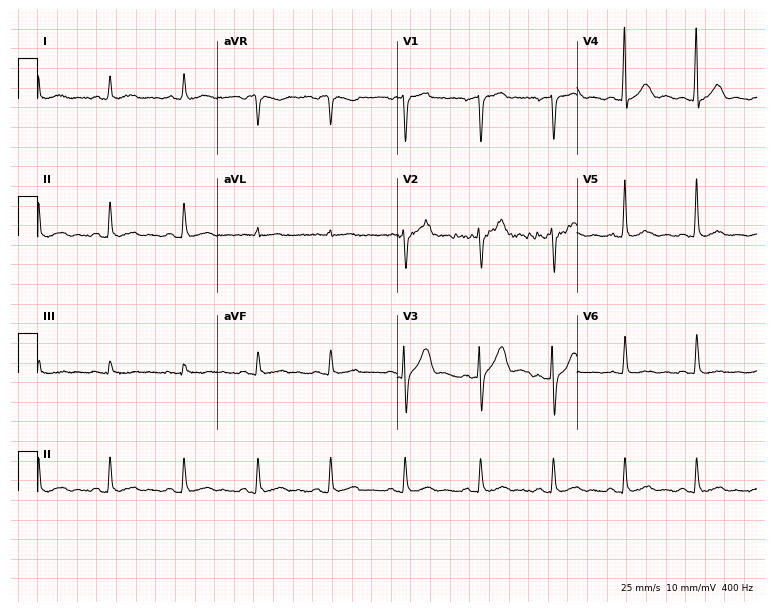
Standard 12-lead ECG recorded from a 62-year-old male patient (7.3-second recording at 400 Hz). Read as a normal ECG.